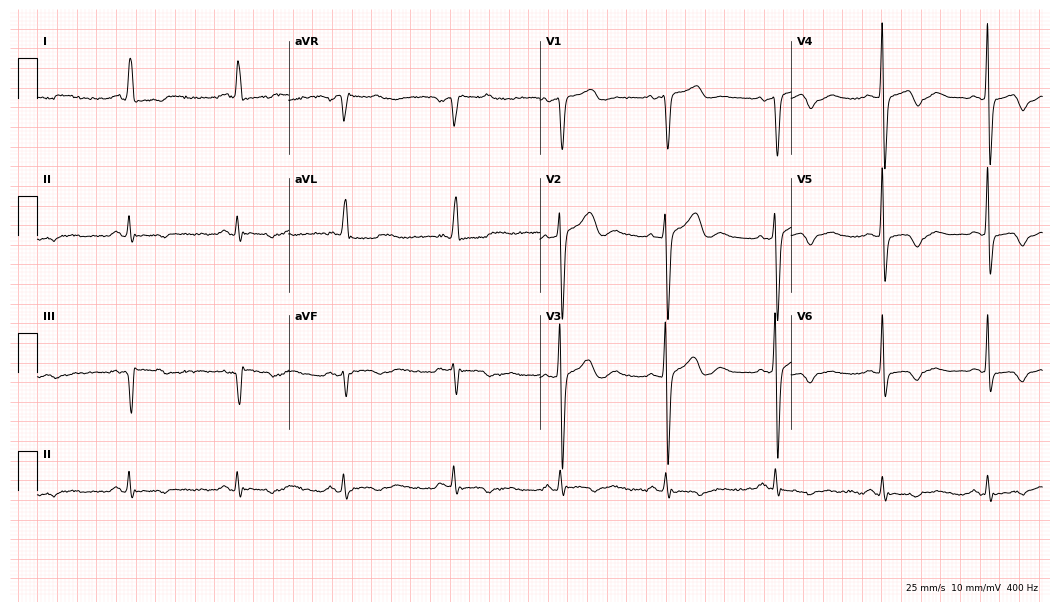
ECG — a woman, 55 years old. Screened for six findings — first-degree AV block, right bundle branch block (RBBB), left bundle branch block (LBBB), sinus bradycardia, atrial fibrillation (AF), sinus tachycardia — none is recorded.